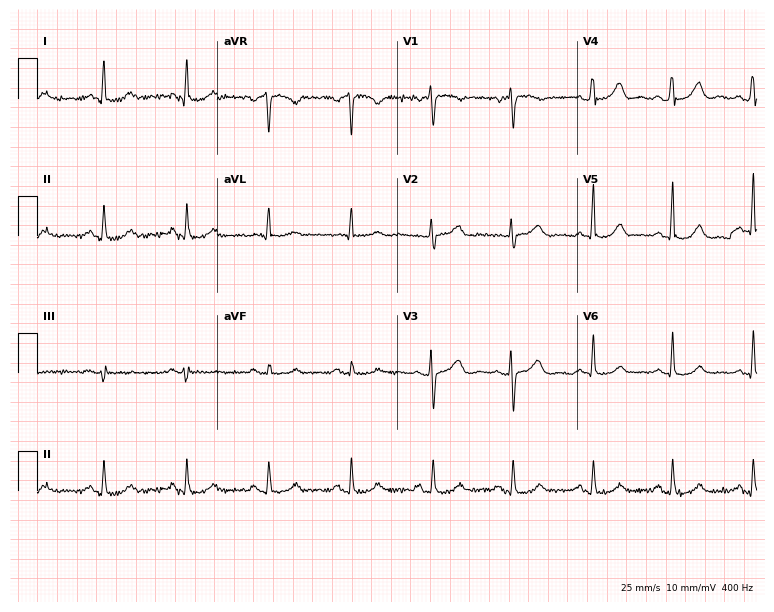
Resting 12-lead electrocardiogram. Patient: a woman, 71 years old. None of these six findings is recorded: first-degree AV block, right bundle branch block, left bundle branch block, sinus bradycardia, atrial fibrillation, sinus tachycardia.